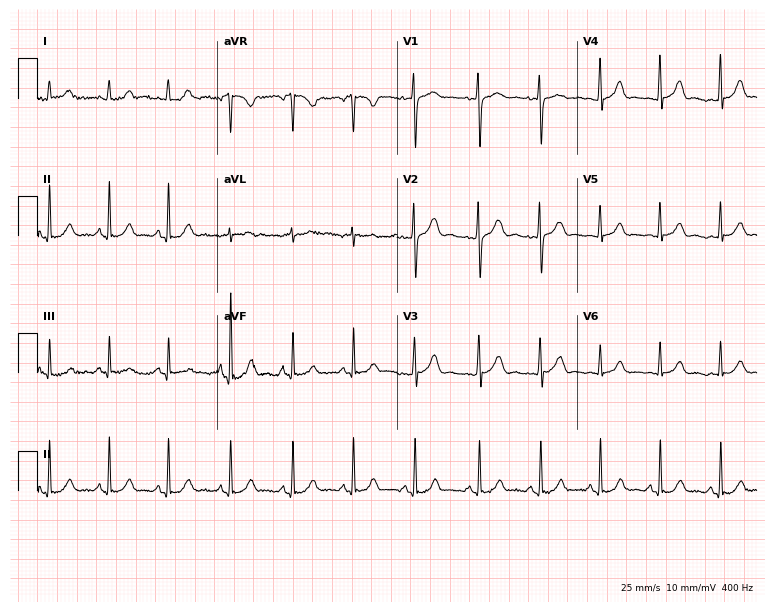
Resting 12-lead electrocardiogram (7.3-second recording at 400 Hz). Patient: a 17-year-old female. Read as a normal ECG.